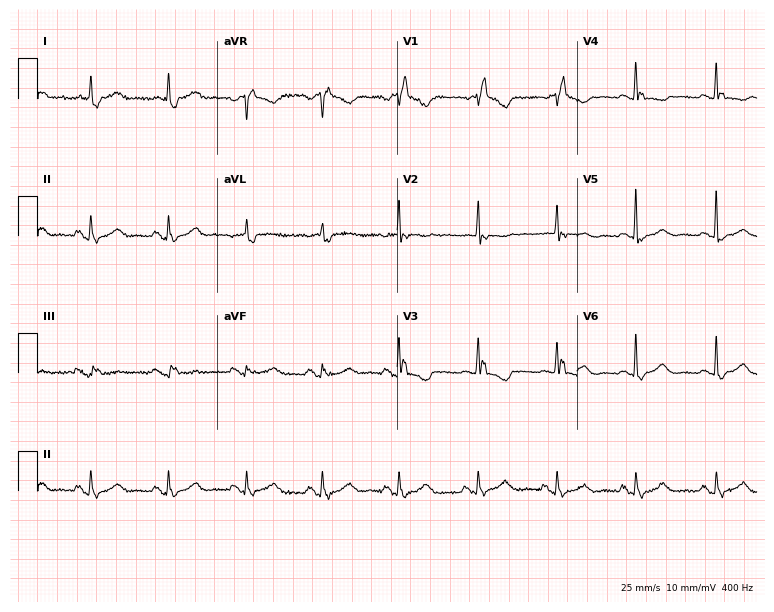
Electrocardiogram, an 80-year-old female. Interpretation includes right bundle branch block.